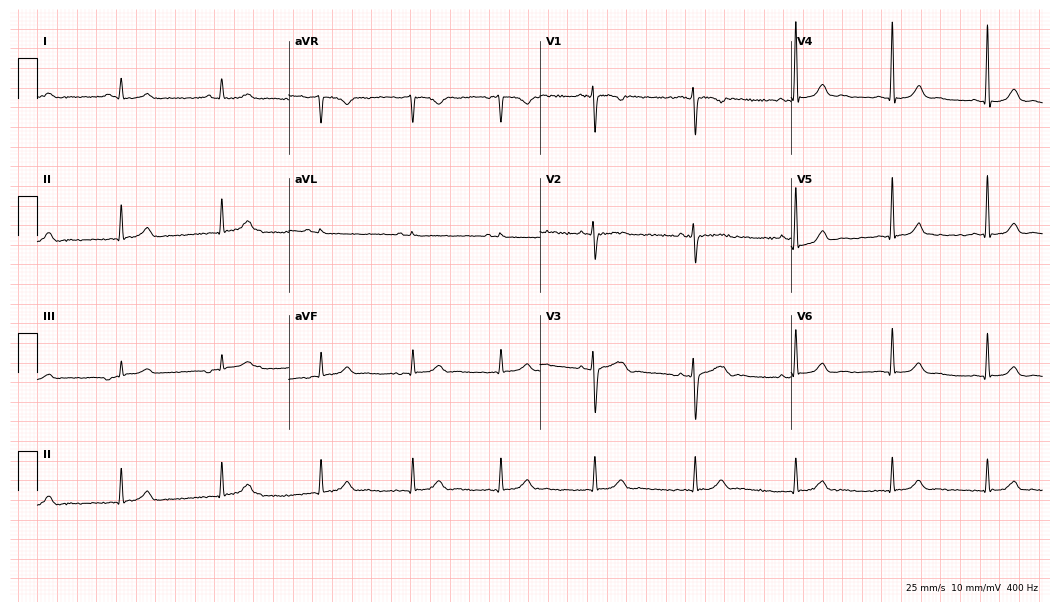
ECG — a female, 35 years old. Labelled as a normal ECG.